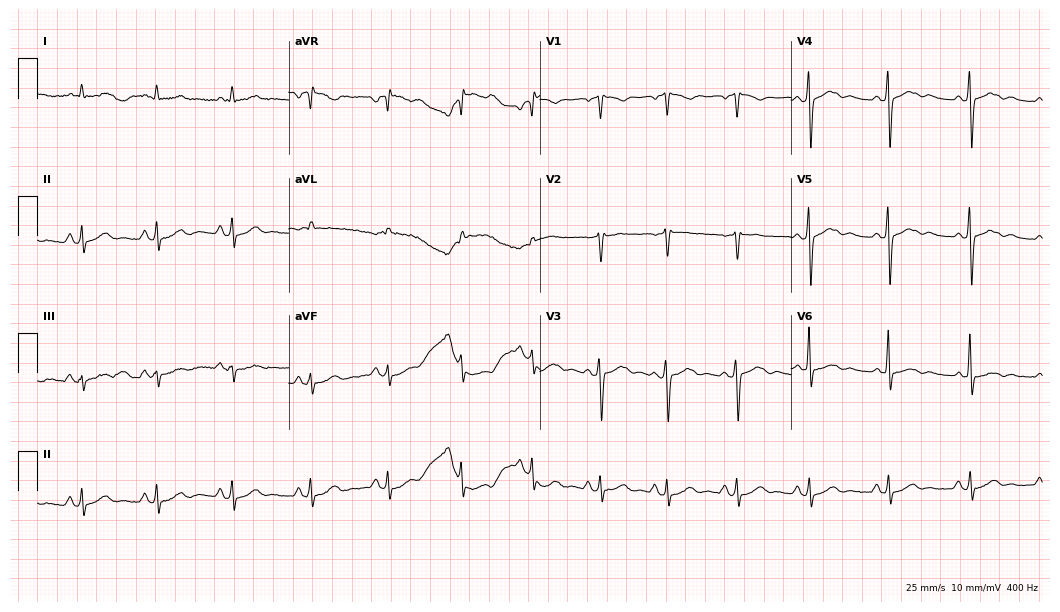
Resting 12-lead electrocardiogram (10.2-second recording at 400 Hz). Patient: a 68-year-old man. Read as a normal ECG.